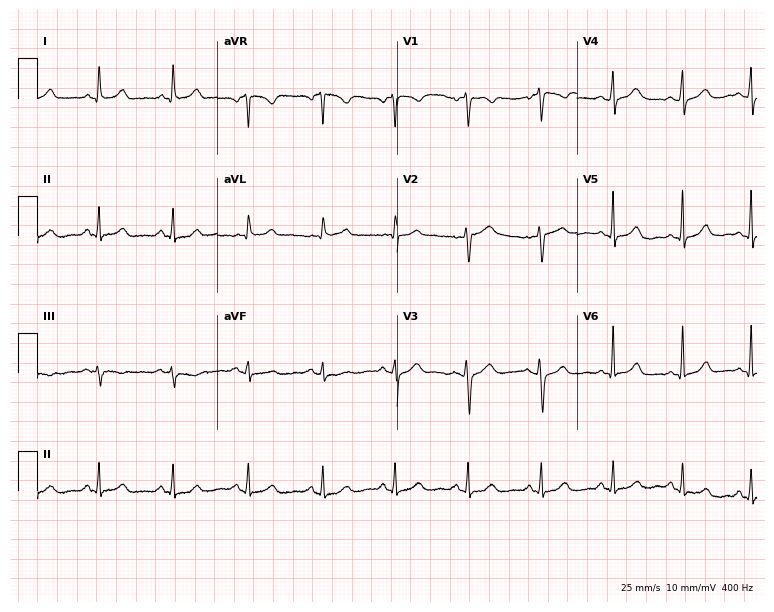
Electrocardiogram, a 48-year-old female patient. Of the six screened findings (first-degree AV block, right bundle branch block, left bundle branch block, sinus bradycardia, atrial fibrillation, sinus tachycardia), none is recorded.